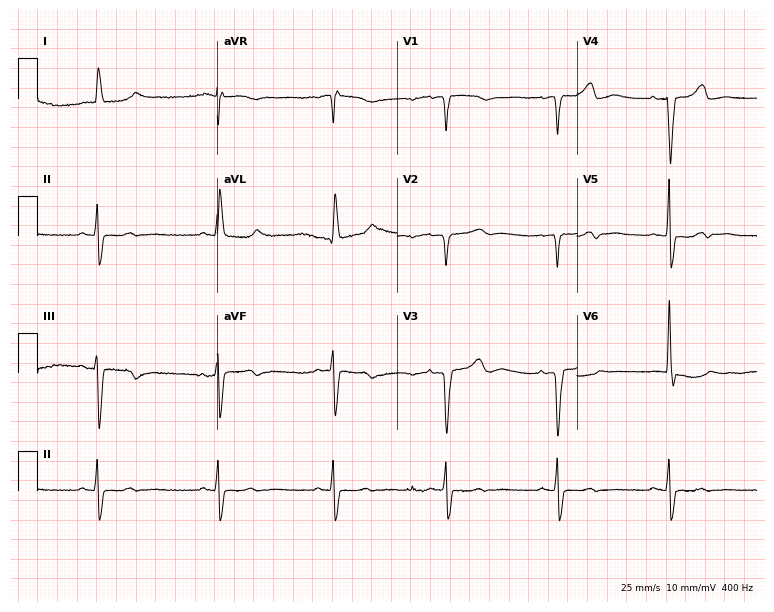
Resting 12-lead electrocardiogram. Patient: an 84-year-old woman. None of these six findings is recorded: first-degree AV block, right bundle branch block (RBBB), left bundle branch block (LBBB), sinus bradycardia, atrial fibrillation (AF), sinus tachycardia. Findings outside these six are not listed.